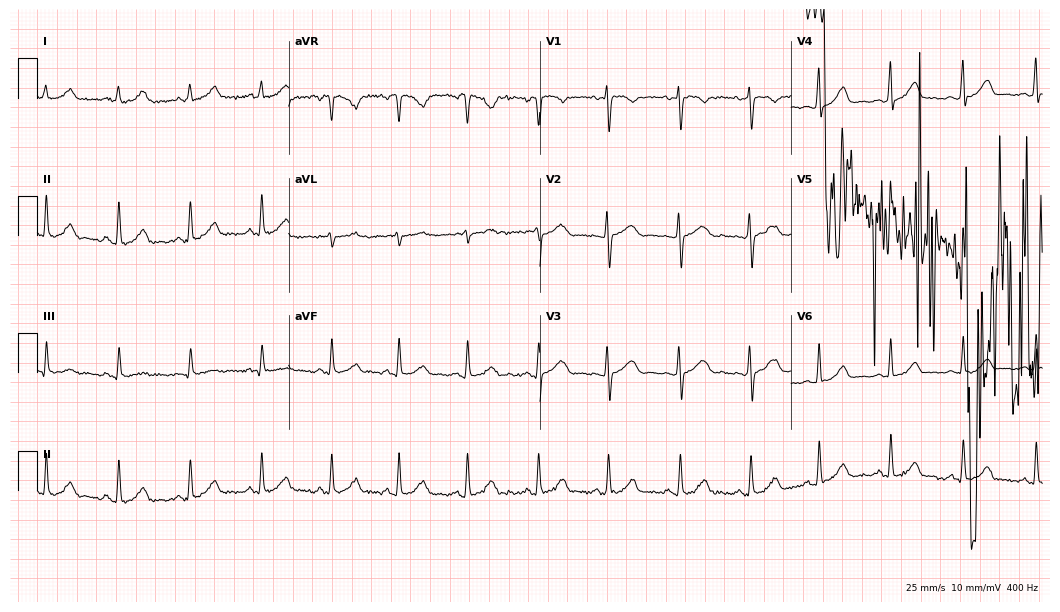
12-lead ECG from a female patient, 22 years old (10.2-second recording at 400 Hz). No first-degree AV block, right bundle branch block (RBBB), left bundle branch block (LBBB), sinus bradycardia, atrial fibrillation (AF) or sinus tachycardia recorded for this tracing.